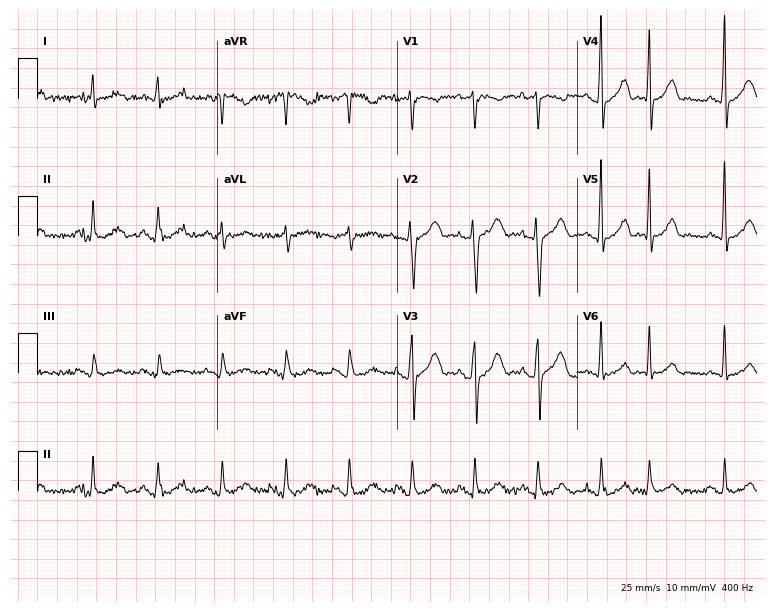
12-lead ECG from a female, 74 years old. Recorded interpretation: within normal limits.